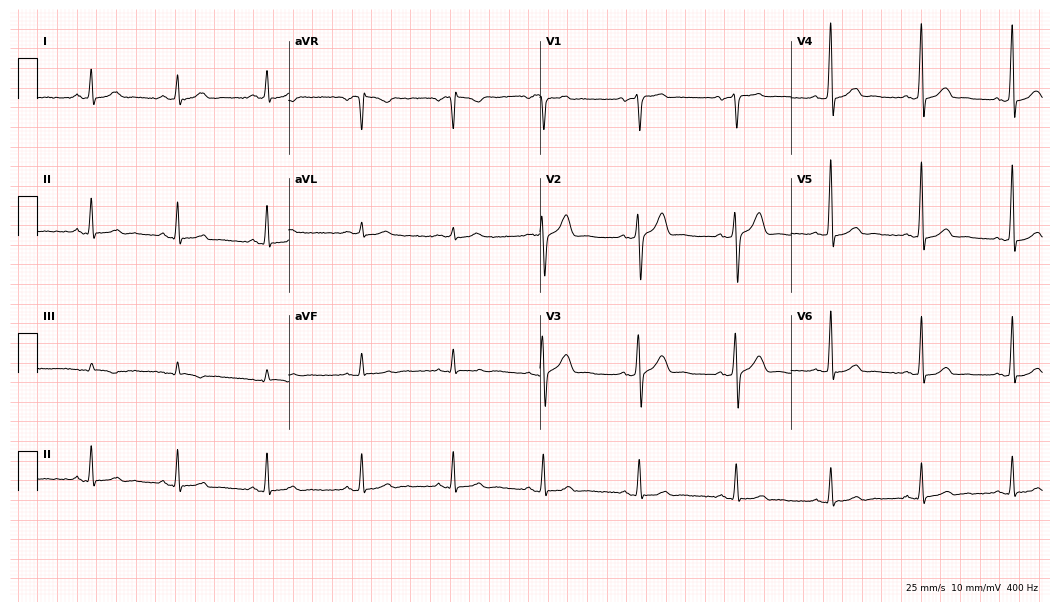
Resting 12-lead electrocardiogram. Patient: a female, 34 years old. Read as a normal ECG.